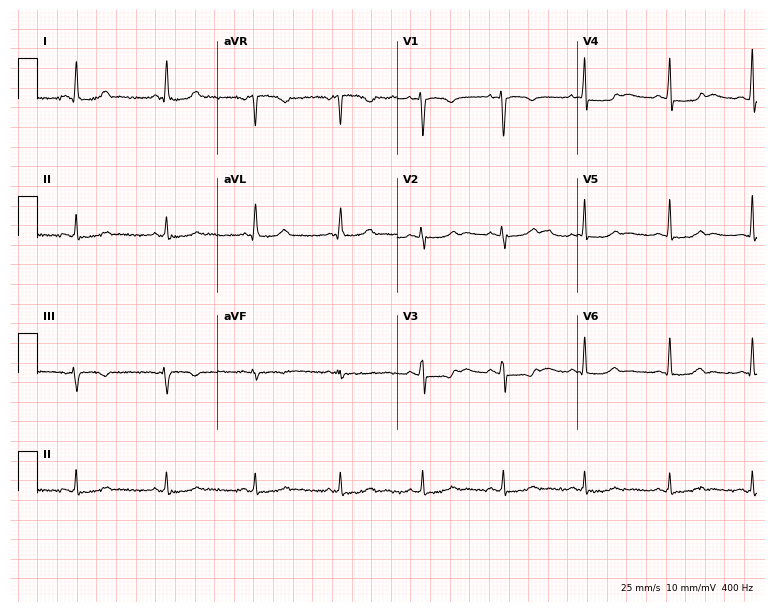
Electrocardiogram (7.3-second recording at 400 Hz), a 44-year-old female patient. Of the six screened findings (first-degree AV block, right bundle branch block, left bundle branch block, sinus bradycardia, atrial fibrillation, sinus tachycardia), none is recorded. Only these six findings were labelled.